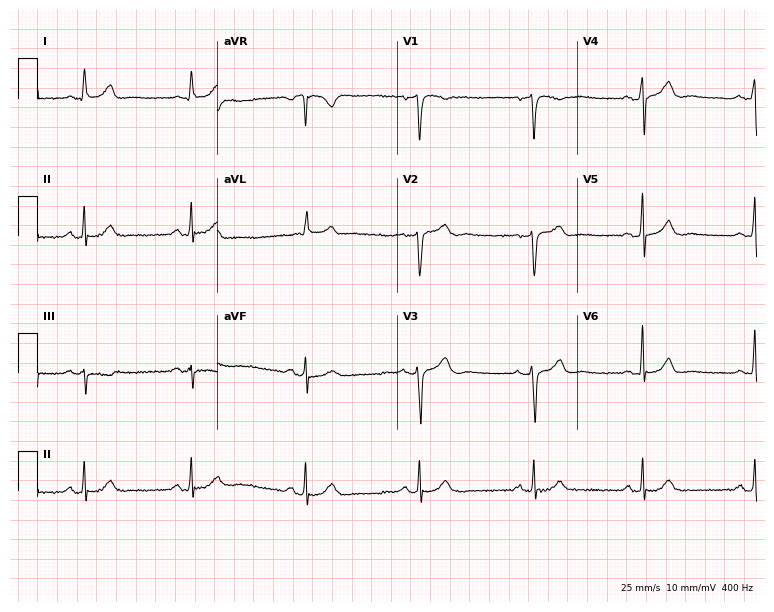
12-lead ECG (7.3-second recording at 400 Hz) from a 67-year-old female. Labelled as a normal ECG.